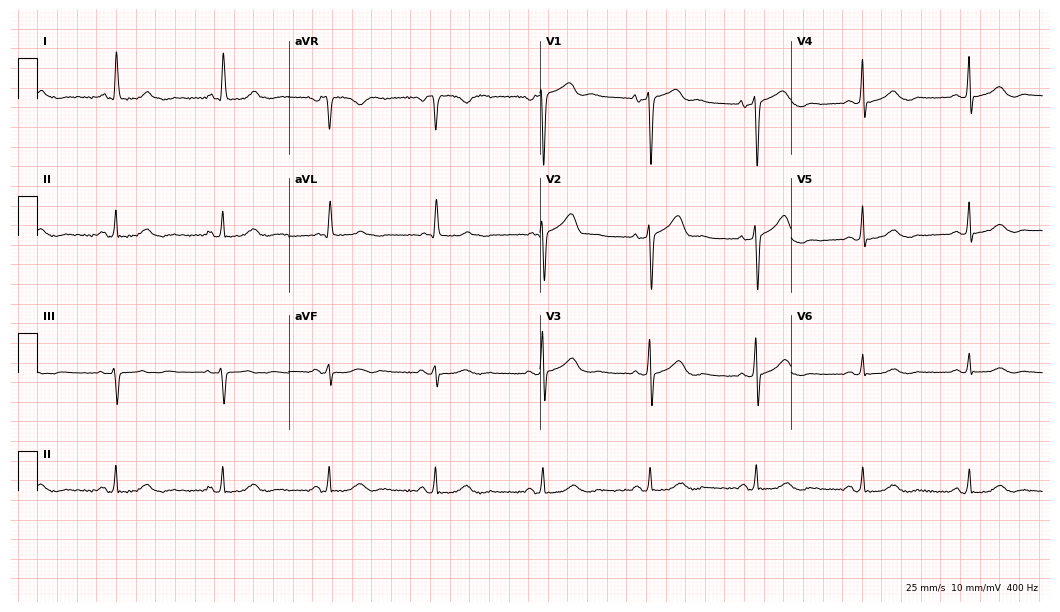
Standard 12-lead ECG recorded from a woman, 65 years old. Read as a normal ECG.